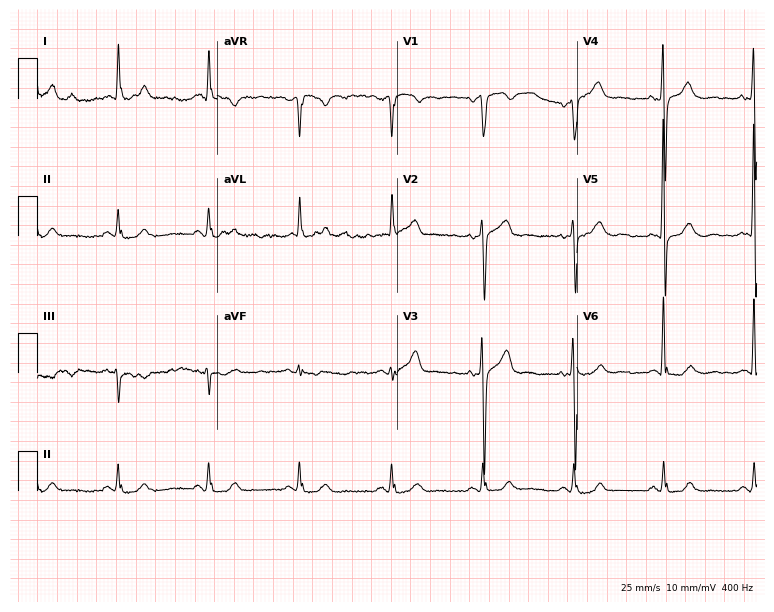
Resting 12-lead electrocardiogram (7.3-second recording at 400 Hz). Patient: a 61-year-old male. None of these six findings is recorded: first-degree AV block, right bundle branch block, left bundle branch block, sinus bradycardia, atrial fibrillation, sinus tachycardia. Only these six findings were labelled.